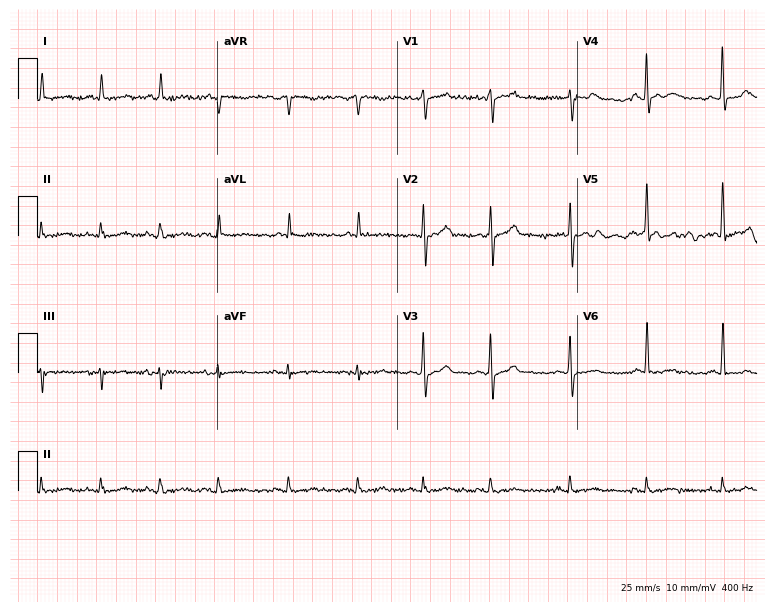
ECG (7.3-second recording at 400 Hz) — a man, 82 years old. Screened for six findings — first-degree AV block, right bundle branch block, left bundle branch block, sinus bradycardia, atrial fibrillation, sinus tachycardia — none is recorded. Other findings, if any, are not listed.